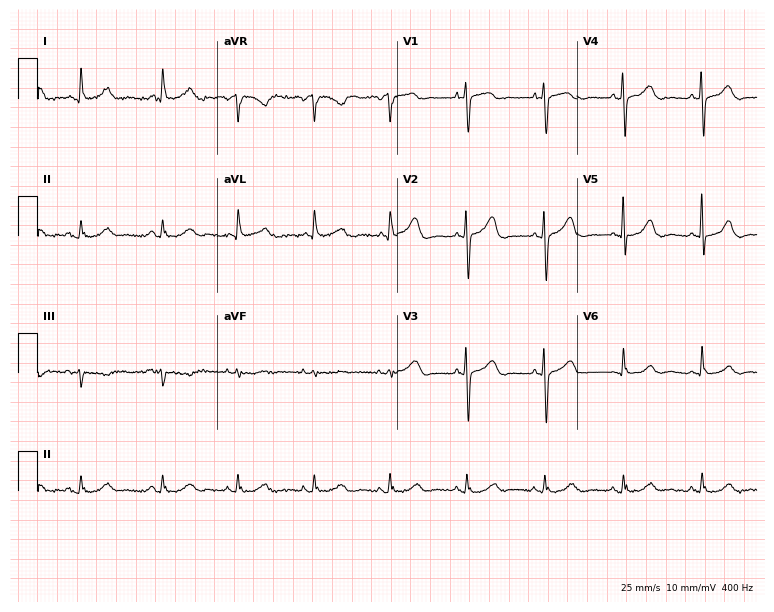
Electrocardiogram (7.3-second recording at 400 Hz), a 77-year-old woman. Overall reading on record: normal ECG.